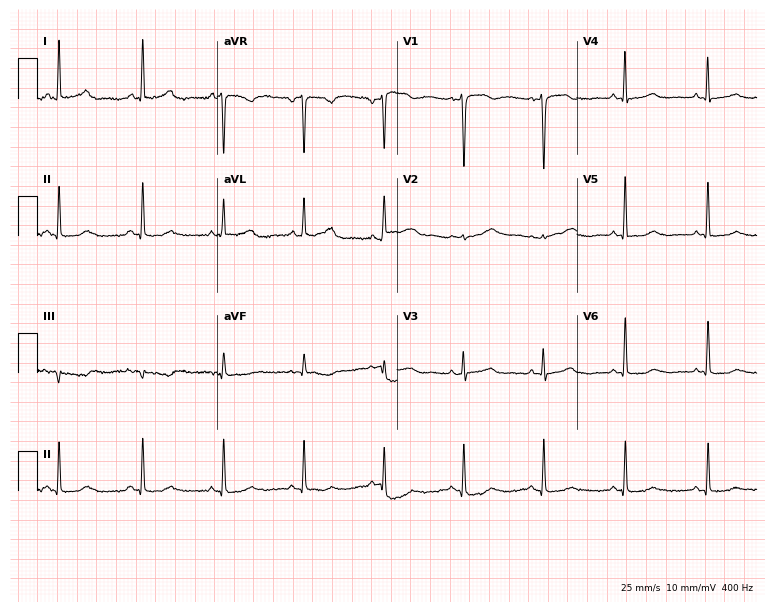
12-lead ECG from a 47-year-old female patient. No first-degree AV block, right bundle branch block (RBBB), left bundle branch block (LBBB), sinus bradycardia, atrial fibrillation (AF) or sinus tachycardia recorded for this tracing.